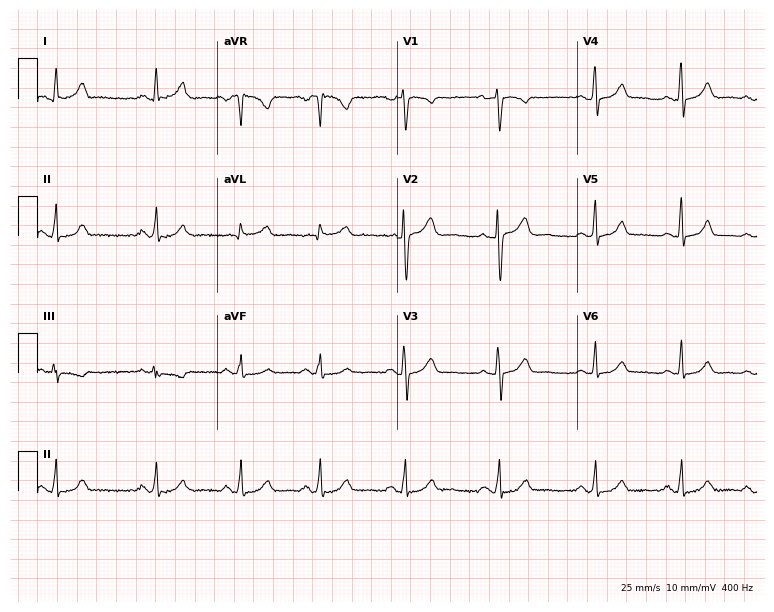
12-lead ECG from a female, 43 years old (7.3-second recording at 400 Hz). Recorded interpretation: within normal limits.